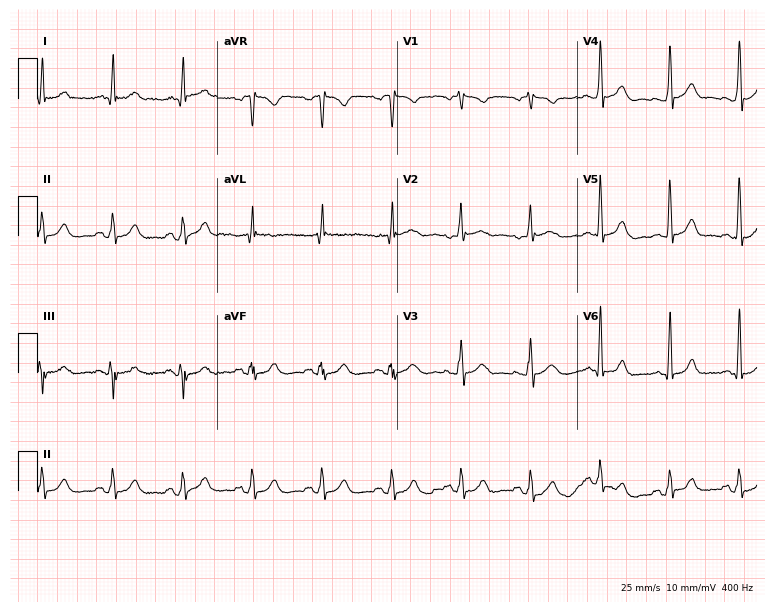
ECG — a male, 74 years old. Screened for six findings — first-degree AV block, right bundle branch block, left bundle branch block, sinus bradycardia, atrial fibrillation, sinus tachycardia — none is recorded.